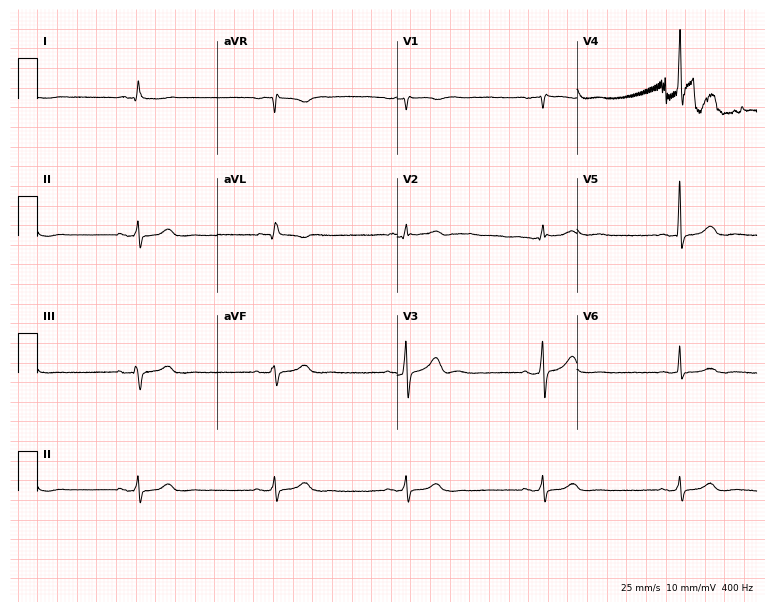
Electrocardiogram (7.3-second recording at 400 Hz), a 58-year-old female. Interpretation includes sinus bradycardia (a sinus rate of 50 beats per minute or less).